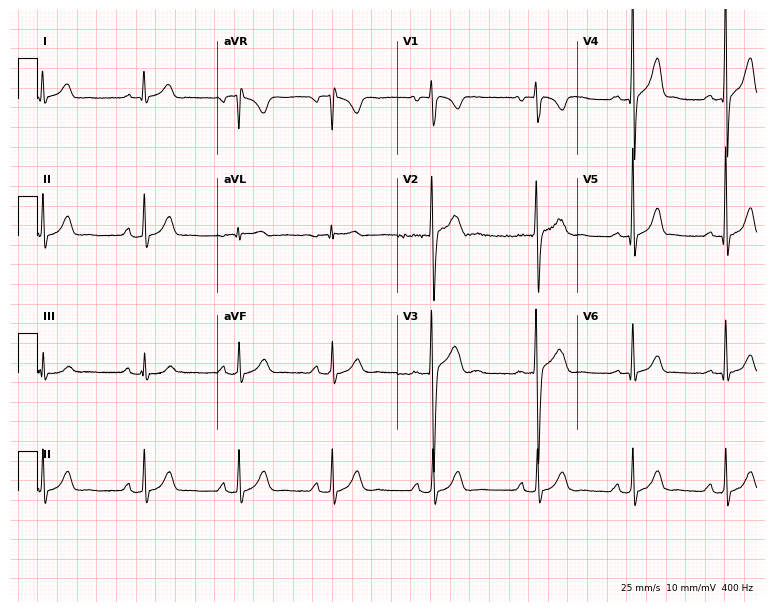
Standard 12-lead ECG recorded from a male patient, 19 years old (7.3-second recording at 400 Hz). Read as a normal ECG.